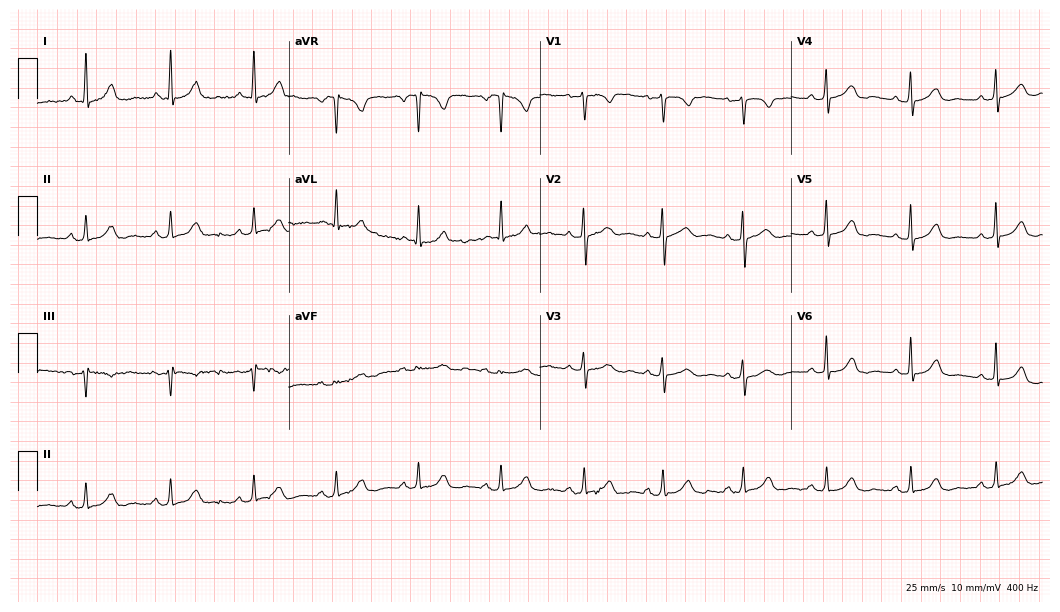
ECG (10.2-second recording at 400 Hz) — a female patient, 48 years old. Labelled as a normal ECG.